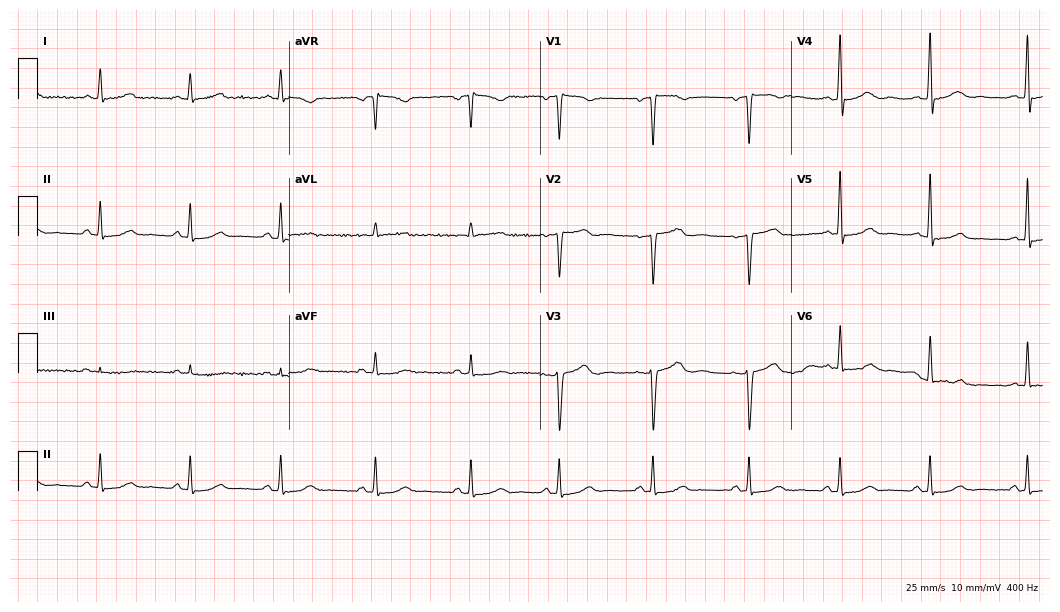
12-lead ECG from a female patient, 42 years old. Screened for six findings — first-degree AV block, right bundle branch block, left bundle branch block, sinus bradycardia, atrial fibrillation, sinus tachycardia — none is recorded. Only these six findings were labelled.